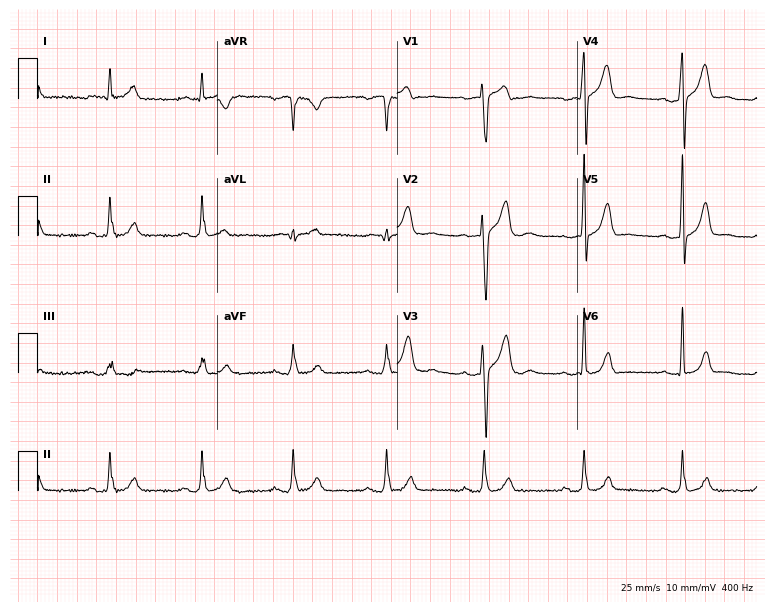
ECG (7.3-second recording at 400 Hz) — a 36-year-old man. Labelled as a normal ECG.